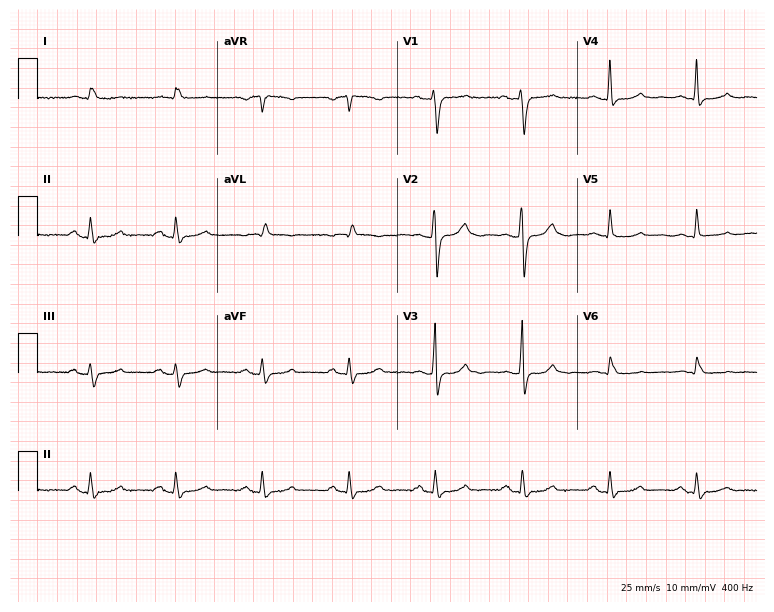
Standard 12-lead ECG recorded from a 66-year-old female (7.3-second recording at 400 Hz). None of these six findings is recorded: first-degree AV block, right bundle branch block (RBBB), left bundle branch block (LBBB), sinus bradycardia, atrial fibrillation (AF), sinus tachycardia. Other findings, if any, are not listed.